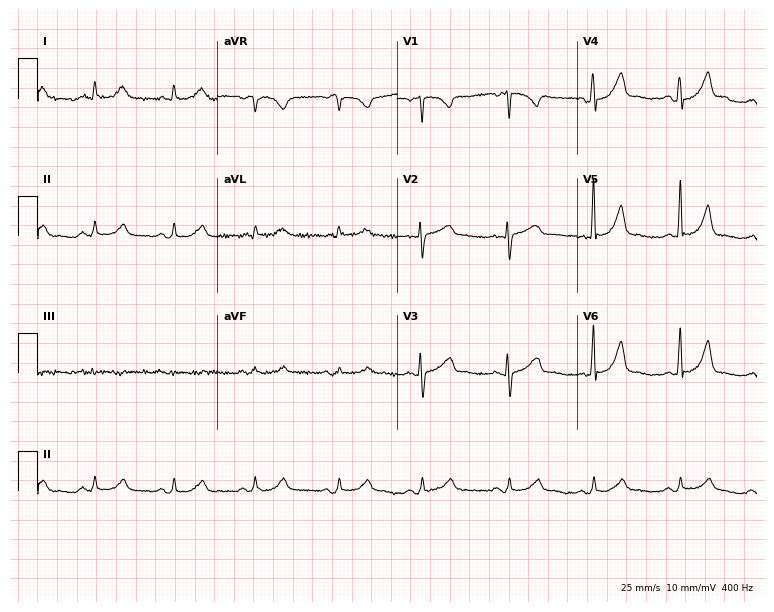
12-lead ECG (7.3-second recording at 400 Hz) from a woman, 43 years old. Labelled as a normal ECG.